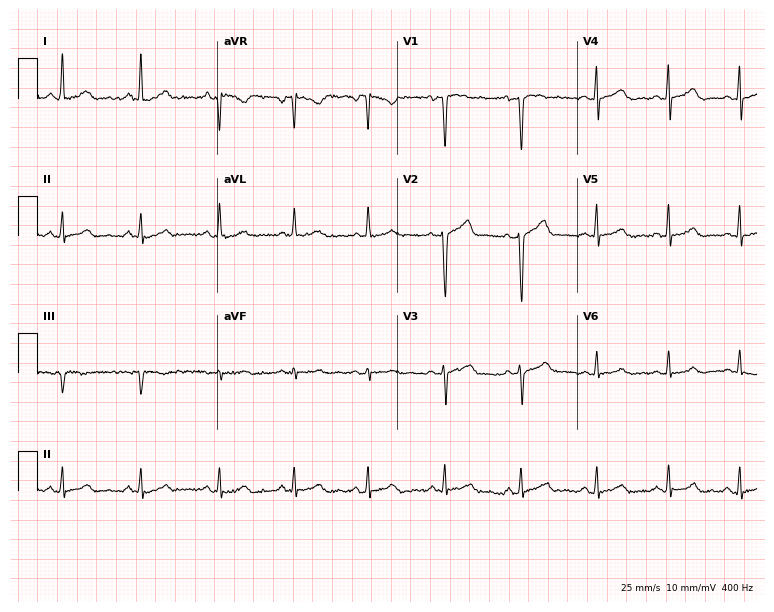
12-lead ECG from a 36-year-old woman. Labelled as a normal ECG.